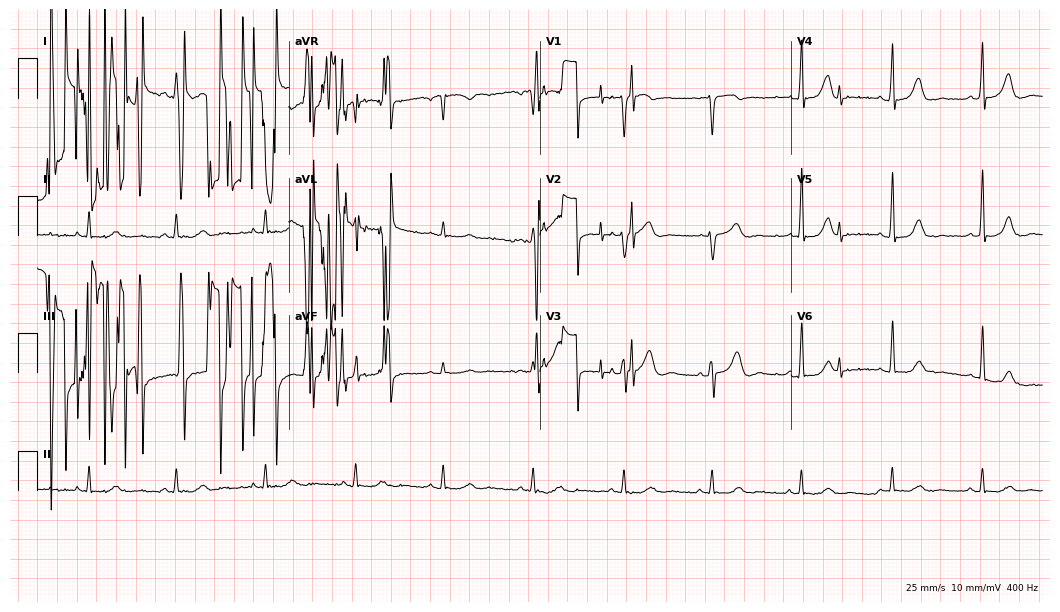
12-lead ECG from a 50-year-old man (10.2-second recording at 400 Hz). No first-degree AV block, right bundle branch block, left bundle branch block, sinus bradycardia, atrial fibrillation or sinus tachycardia recorded for this tracing.